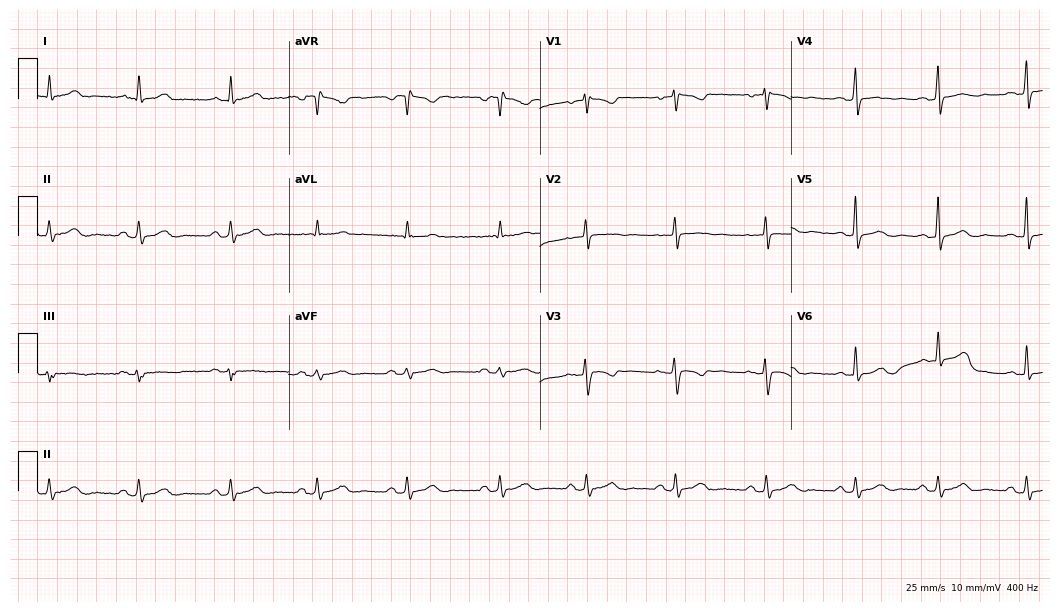
12-lead ECG from a 34-year-old woman. No first-degree AV block, right bundle branch block (RBBB), left bundle branch block (LBBB), sinus bradycardia, atrial fibrillation (AF) or sinus tachycardia recorded for this tracing. Only these six findings were labelled.